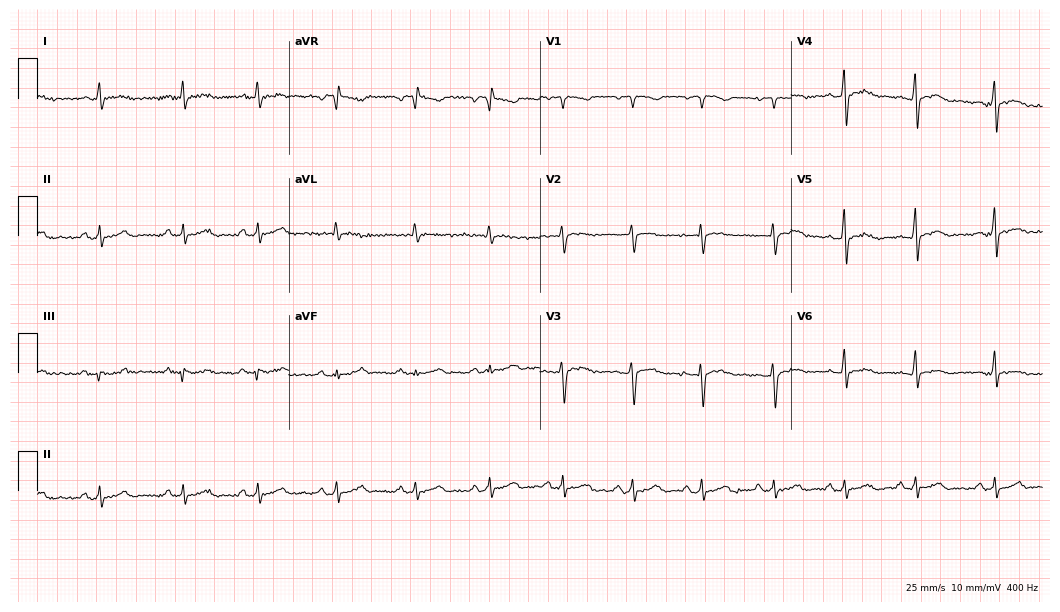
Standard 12-lead ECG recorded from a 25-year-old female (10.2-second recording at 400 Hz). Read as a normal ECG.